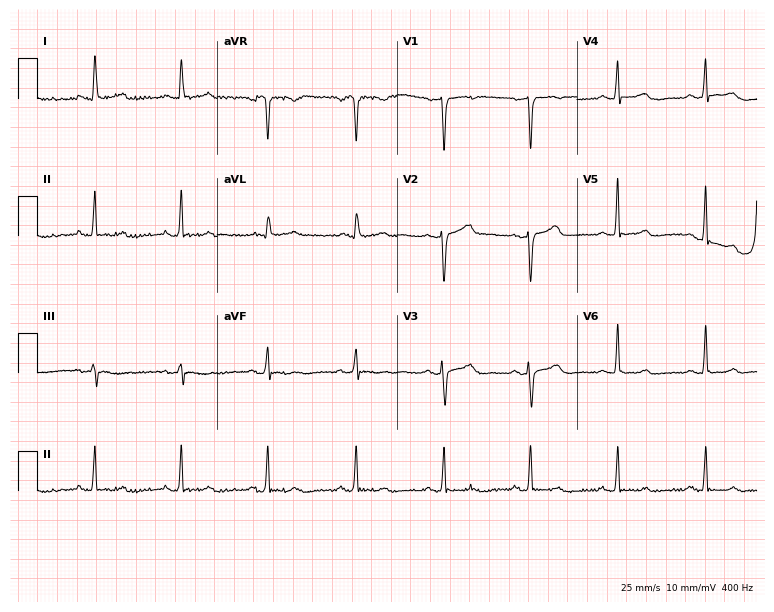
Electrocardiogram (7.3-second recording at 400 Hz), a woman, 60 years old. Of the six screened findings (first-degree AV block, right bundle branch block, left bundle branch block, sinus bradycardia, atrial fibrillation, sinus tachycardia), none is recorded.